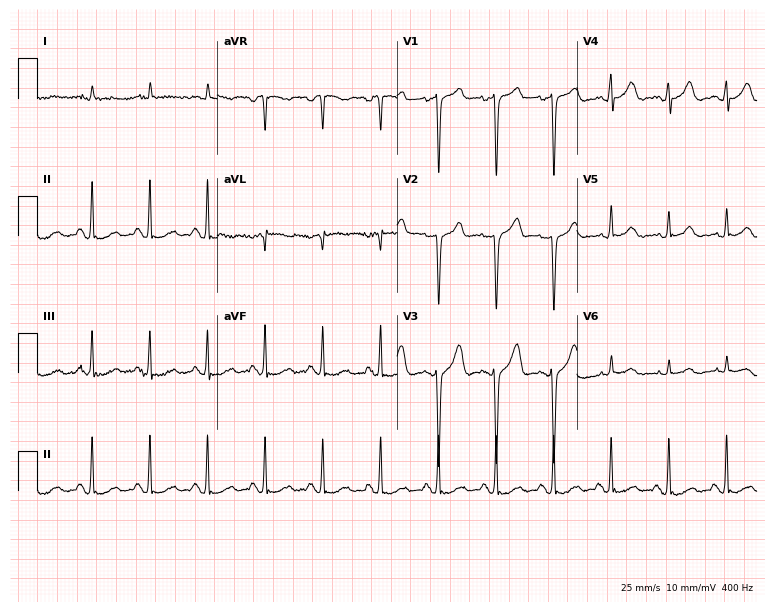
Standard 12-lead ECG recorded from a 75-year-old male patient. The tracing shows sinus tachycardia (a sinus rate of 100 beats per minute or more).